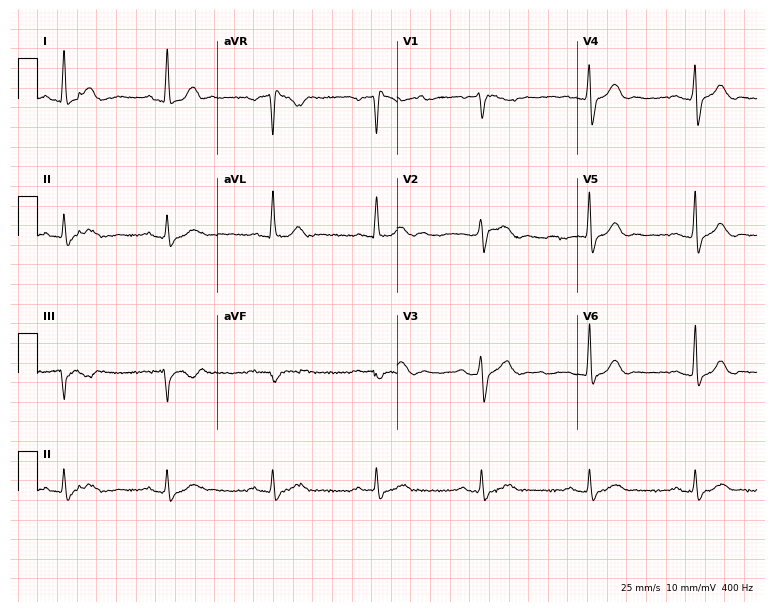
Standard 12-lead ECG recorded from a male patient, 48 years old. None of these six findings is recorded: first-degree AV block, right bundle branch block (RBBB), left bundle branch block (LBBB), sinus bradycardia, atrial fibrillation (AF), sinus tachycardia. Only these six findings were labelled.